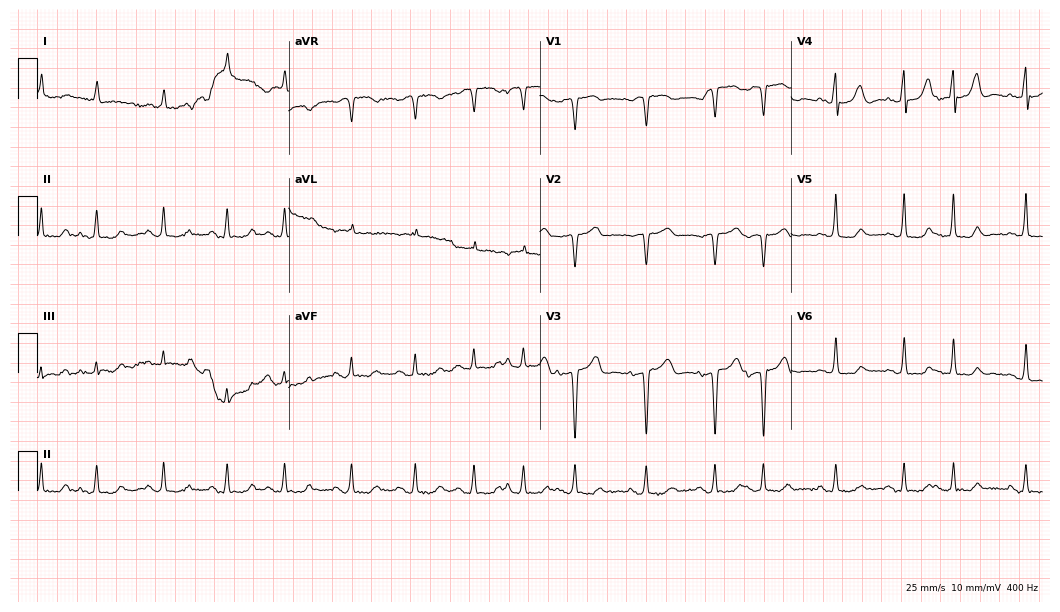
12-lead ECG from an 82-year-old female (10.2-second recording at 400 Hz). No first-degree AV block, right bundle branch block, left bundle branch block, sinus bradycardia, atrial fibrillation or sinus tachycardia recorded for this tracing. Findings outside these six are not listed.